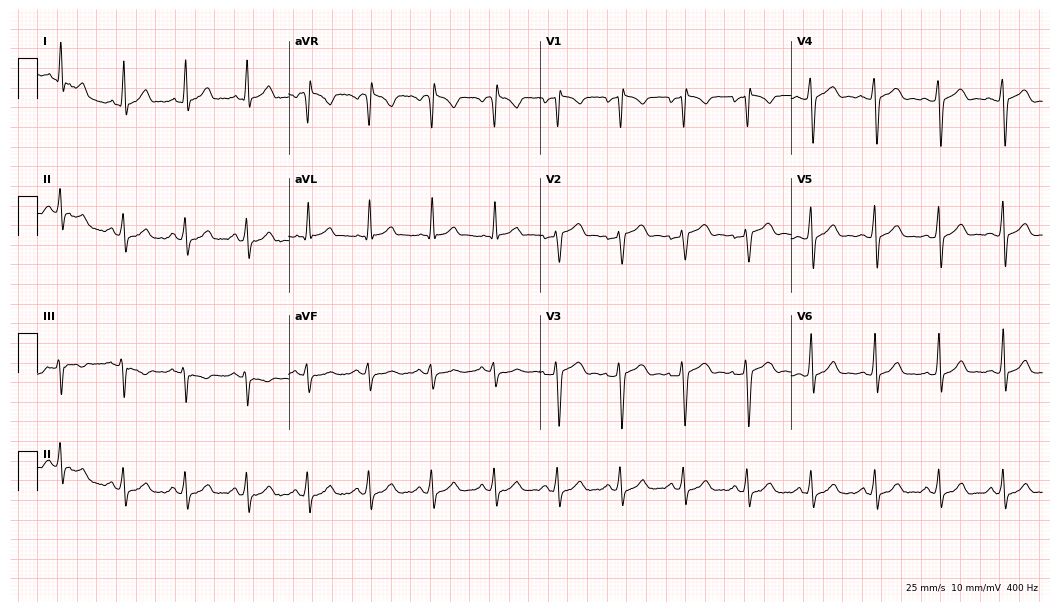
Resting 12-lead electrocardiogram (10.2-second recording at 400 Hz). Patient: a 35-year-old male. Read as a normal ECG.